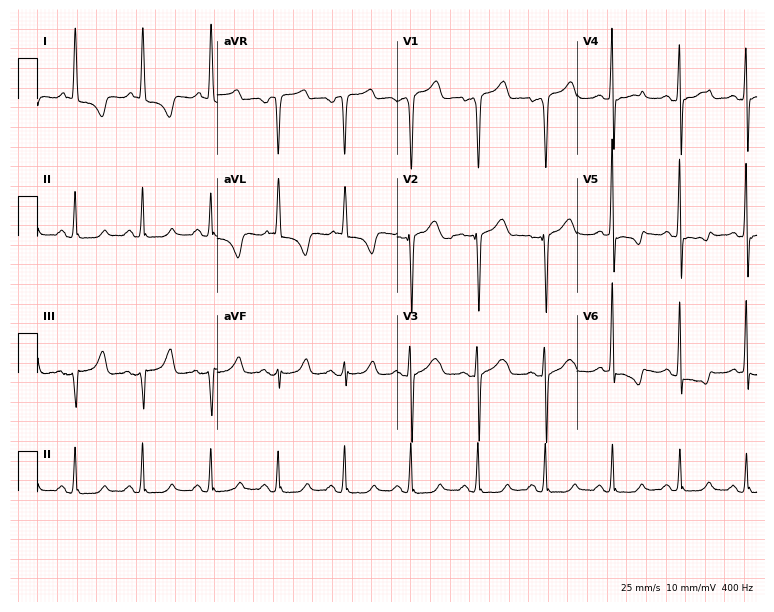
Standard 12-lead ECG recorded from a female, 50 years old (7.3-second recording at 400 Hz). None of these six findings is recorded: first-degree AV block, right bundle branch block, left bundle branch block, sinus bradycardia, atrial fibrillation, sinus tachycardia. Other findings, if any, are not listed.